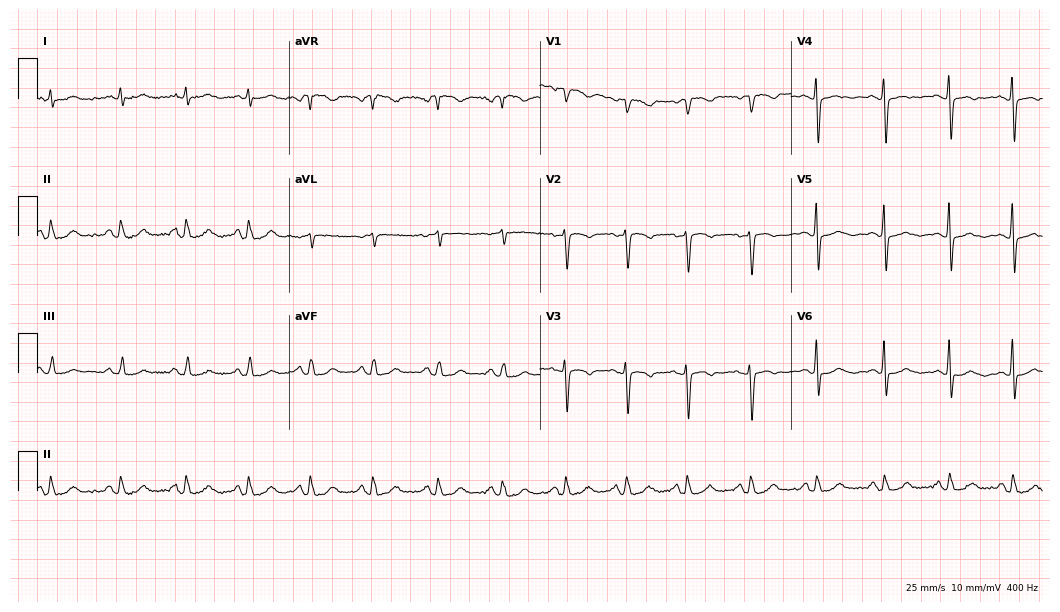
Standard 12-lead ECG recorded from a woman, 58 years old. None of these six findings is recorded: first-degree AV block, right bundle branch block, left bundle branch block, sinus bradycardia, atrial fibrillation, sinus tachycardia. Findings outside these six are not listed.